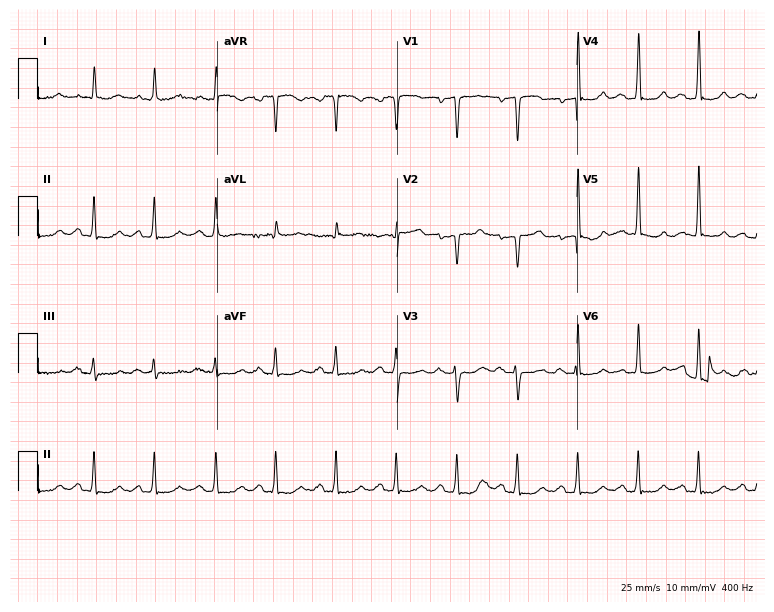
Standard 12-lead ECG recorded from a 58-year-old female. None of these six findings is recorded: first-degree AV block, right bundle branch block, left bundle branch block, sinus bradycardia, atrial fibrillation, sinus tachycardia.